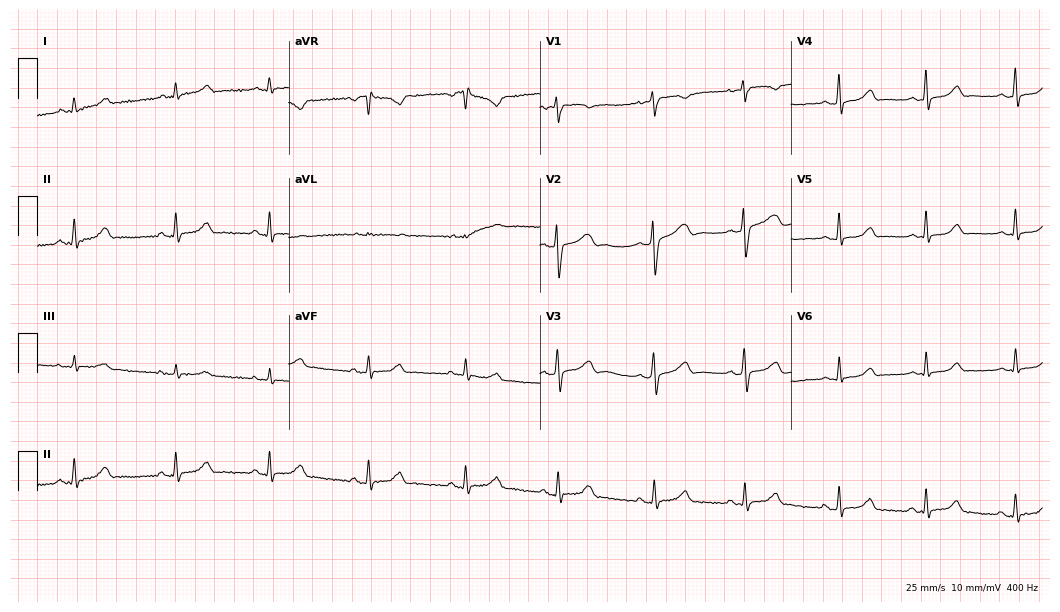
Resting 12-lead electrocardiogram. Patient: a woman, 23 years old. None of these six findings is recorded: first-degree AV block, right bundle branch block (RBBB), left bundle branch block (LBBB), sinus bradycardia, atrial fibrillation (AF), sinus tachycardia. Findings outside these six are not listed.